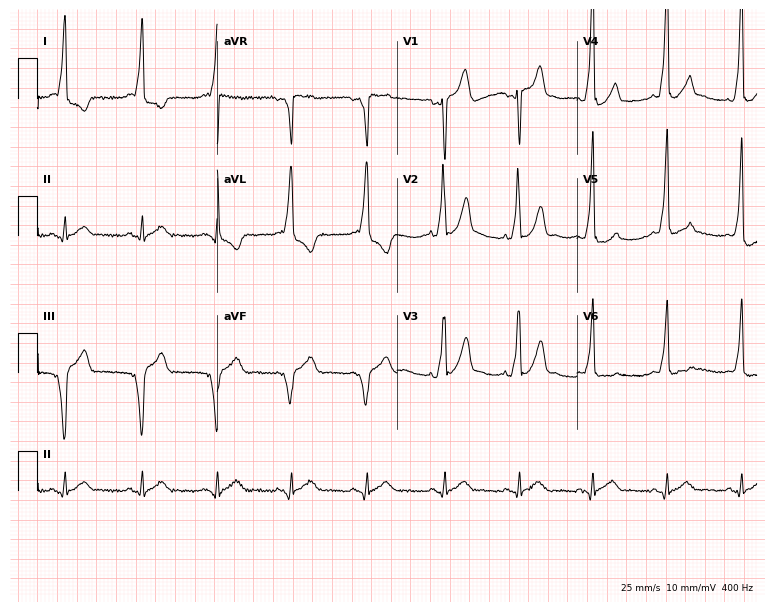
ECG (7.3-second recording at 400 Hz) — a 31-year-old male. Screened for six findings — first-degree AV block, right bundle branch block (RBBB), left bundle branch block (LBBB), sinus bradycardia, atrial fibrillation (AF), sinus tachycardia — none is recorded.